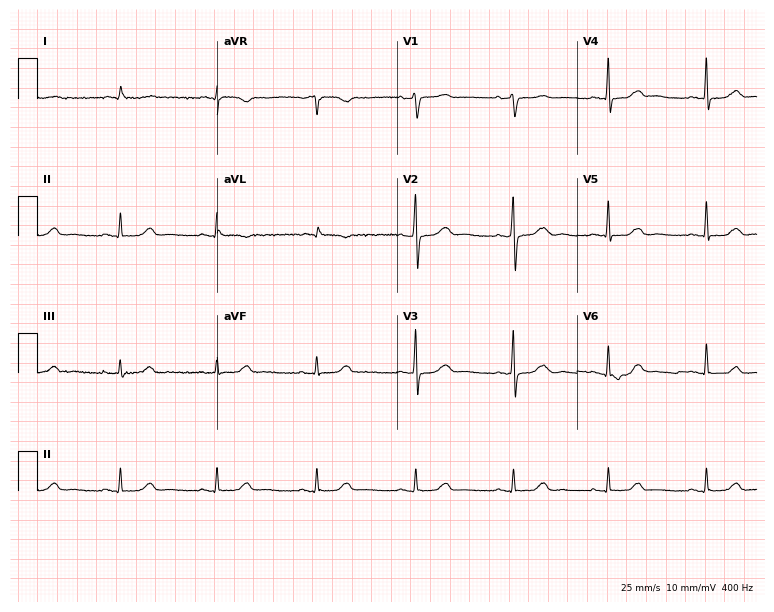
12-lead ECG from a 66-year-old female. Screened for six findings — first-degree AV block, right bundle branch block, left bundle branch block, sinus bradycardia, atrial fibrillation, sinus tachycardia — none is recorded. Only these six findings were labelled.